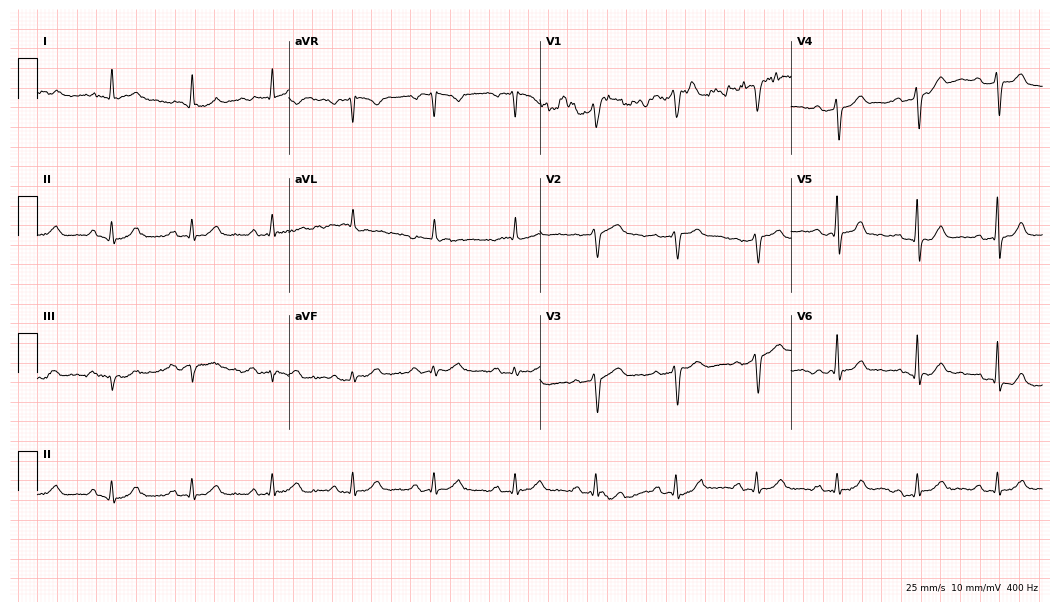
12-lead ECG from a man, 74 years old (10.2-second recording at 400 Hz). No first-degree AV block, right bundle branch block (RBBB), left bundle branch block (LBBB), sinus bradycardia, atrial fibrillation (AF) or sinus tachycardia recorded for this tracing.